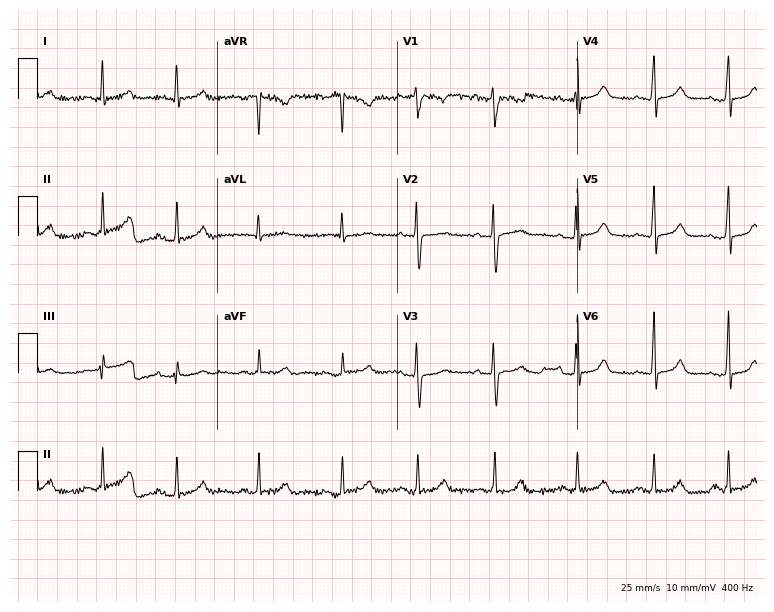
Standard 12-lead ECG recorded from a 39-year-old female (7.3-second recording at 400 Hz). None of these six findings is recorded: first-degree AV block, right bundle branch block, left bundle branch block, sinus bradycardia, atrial fibrillation, sinus tachycardia. Other findings, if any, are not listed.